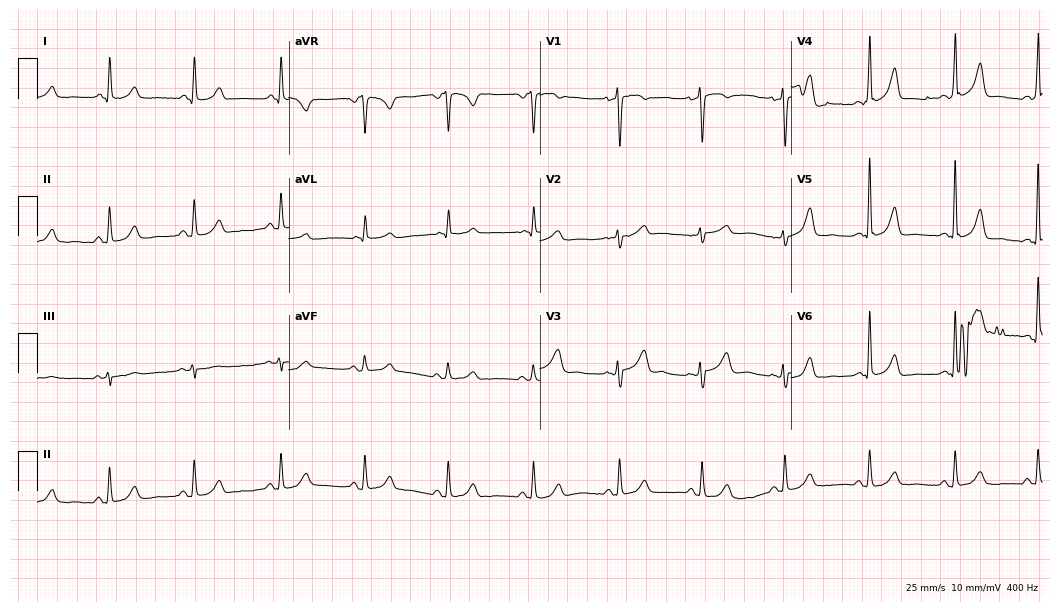
Electrocardiogram, a 47-year-old female patient. Overall reading on record: normal ECG.